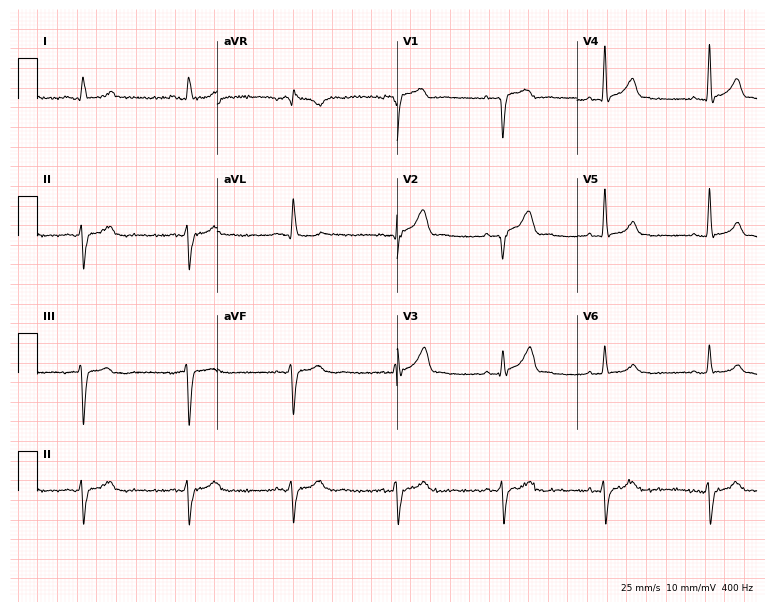
ECG (7.3-second recording at 400 Hz) — a 64-year-old man. Screened for six findings — first-degree AV block, right bundle branch block, left bundle branch block, sinus bradycardia, atrial fibrillation, sinus tachycardia — none is recorded.